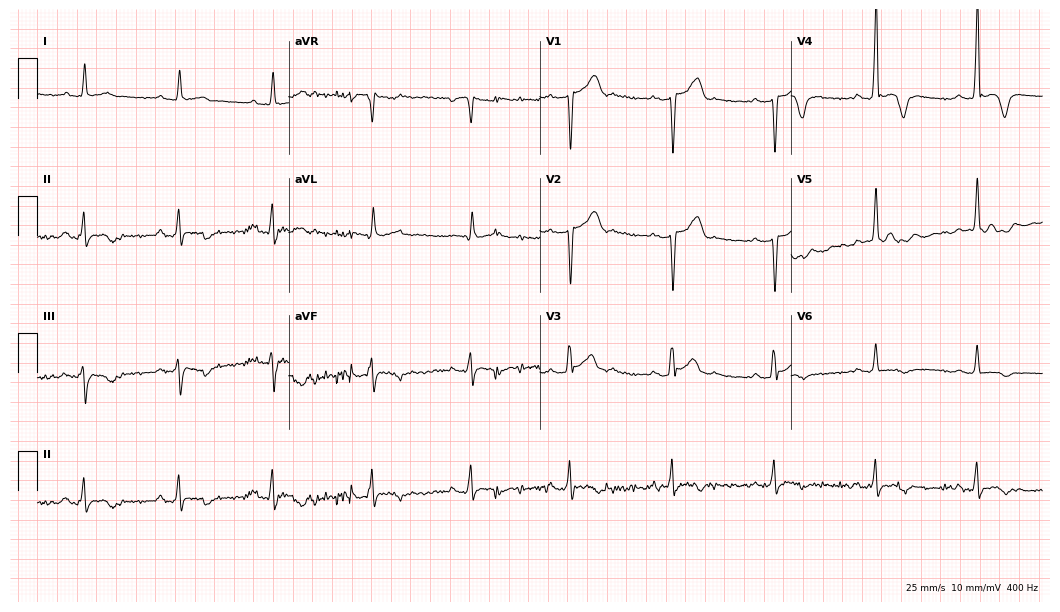
Electrocardiogram, a 29-year-old male. Of the six screened findings (first-degree AV block, right bundle branch block (RBBB), left bundle branch block (LBBB), sinus bradycardia, atrial fibrillation (AF), sinus tachycardia), none is recorded.